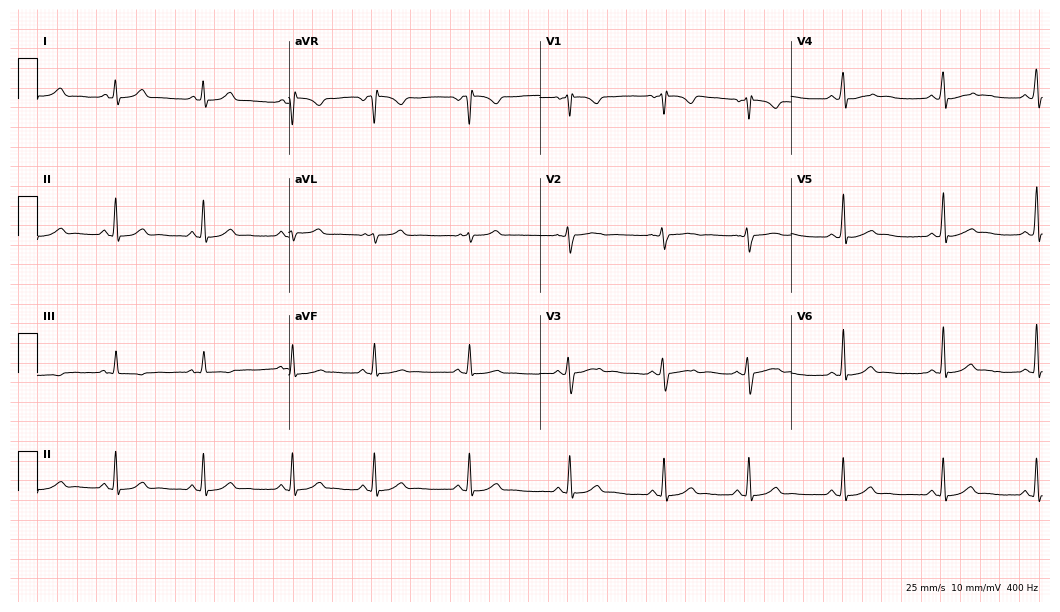
ECG (10.2-second recording at 400 Hz) — a 24-year-old female. Screened for six findings — first-degree AV block, right bundle branch block, left bundle branch block, sinus bradycardia, atrial fibrillation, sinus tachycardia — none is recorded. Findings outside these six are not listed.